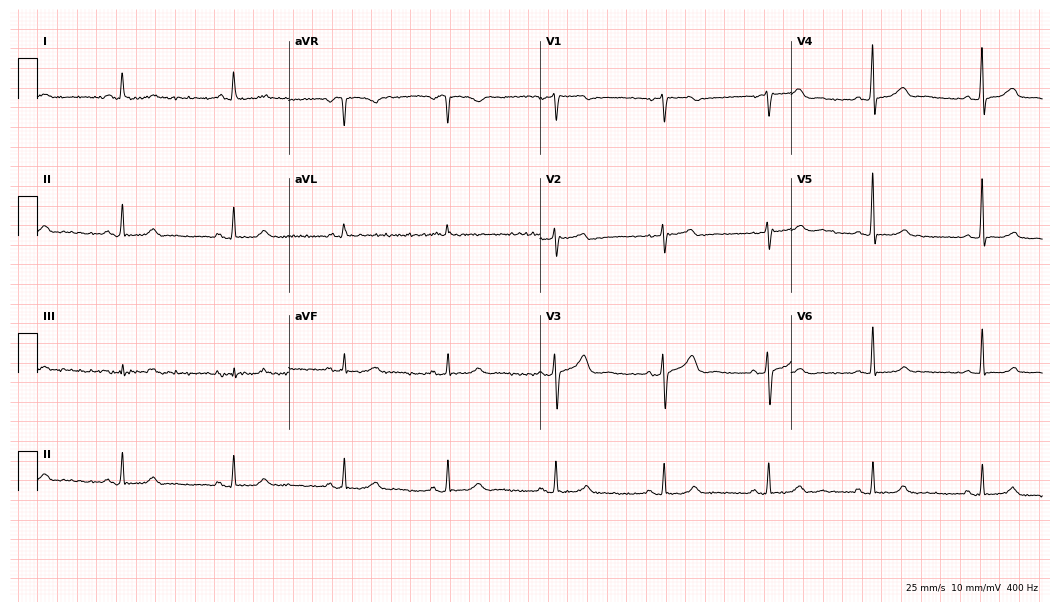
Standard 12-lead ECG recorded from a female patient, 57 years old. Read as a normal ECG.